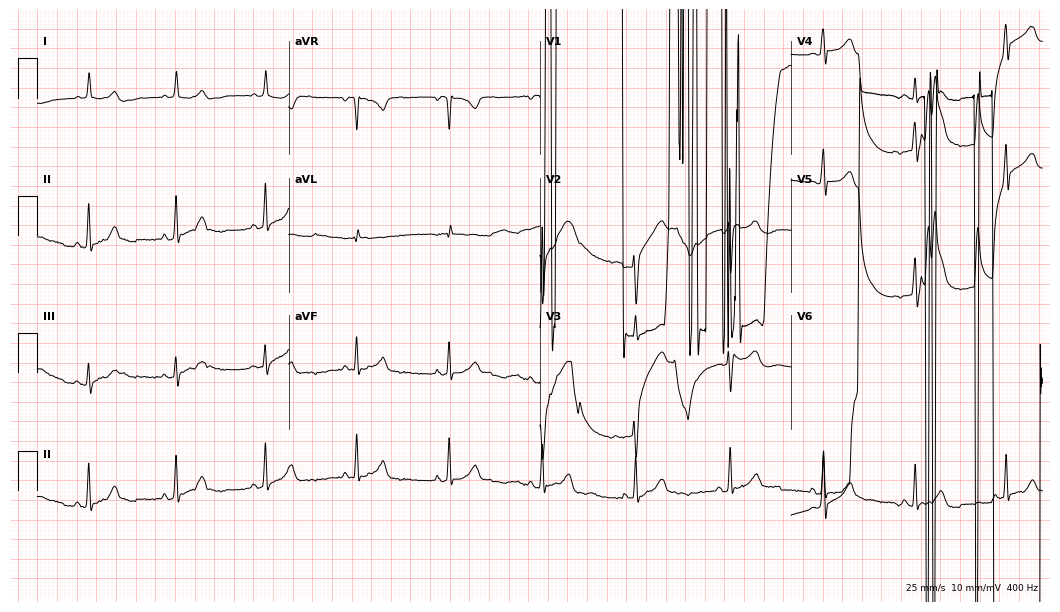
Resting 12-lead electrocardiogram. Patient: a 53-year-old female. None of these six findings is recorded: first-degree AV block, right bundle branch block, left bundle branch block, sinus bradycardia, atrial fibrillation, sinus tachycardia. Other findings, if any, are not listed.